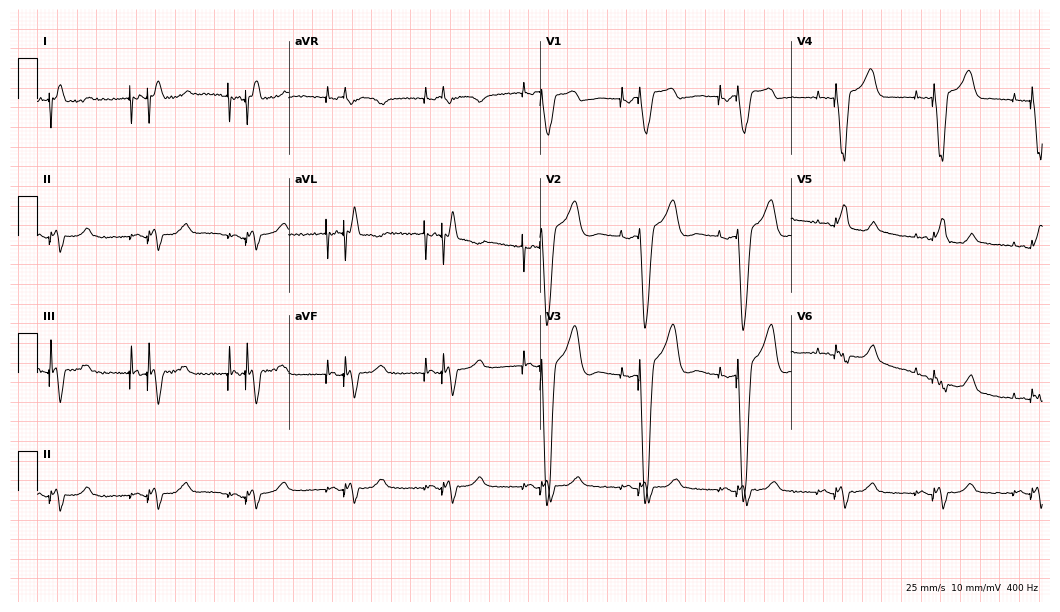
12-lead ECG from a 79-year-old male patient. Screened for six findings — first-degree AV block, right bundle branch block, left bundle branch block, sinus bradycardia, atrial fibrillation, sinus tachycardia — none is recorded.